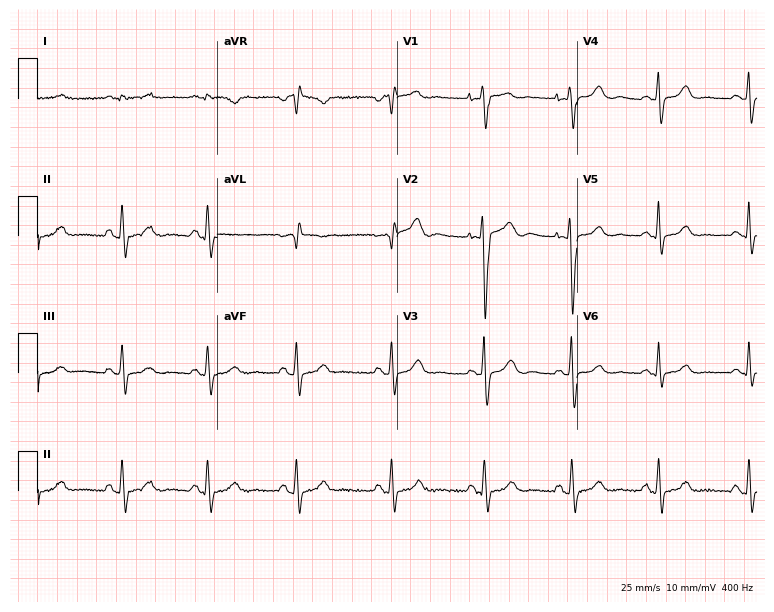
Electrocardiogram, a 31-year-old woman. Of the six screened findings (first-degree AV block, right bundle branch block (RBBB), left bundle branch block (LBBB), sinus bradycardia, atrial fibrillation (AF), sinus tachycardia), none is recorded.